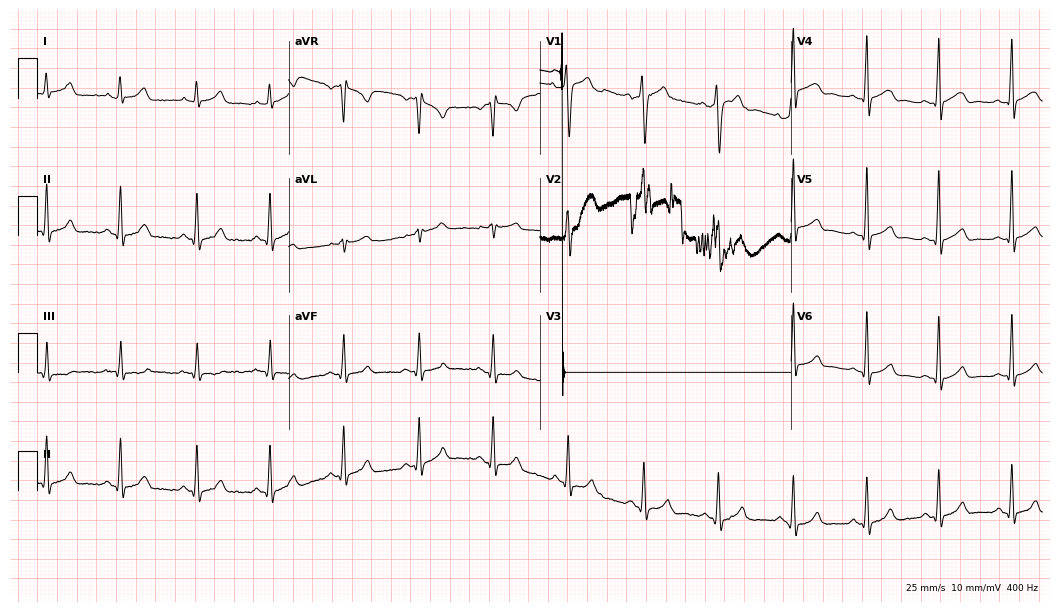
ECG — a 29-year-old male patient. Screened for six findings — first-degree AV block, right bundle branch block, left bundle branch block, sinus bradycardia, atrial fibrillation, sinus tachycardia — none is recorded.